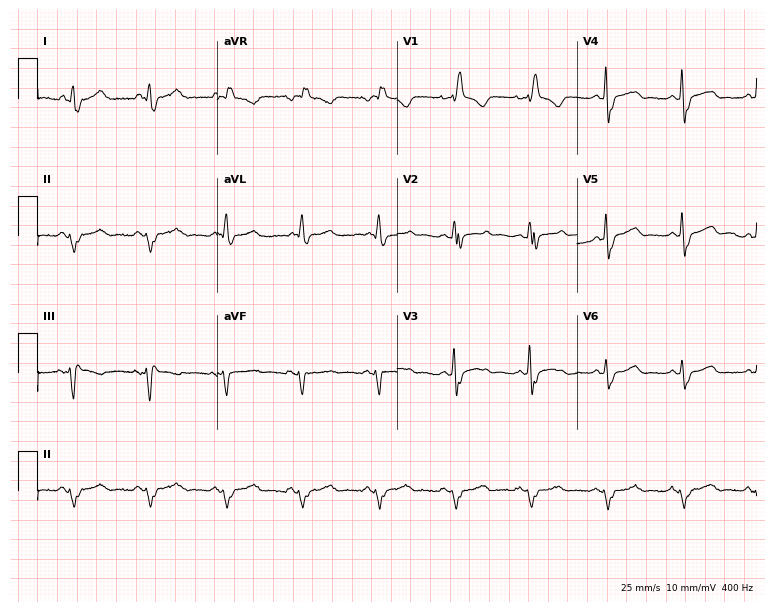
12-lead ECG from a 61-year-old female patient (7.3-second recording at 400 Hz). Shows right bundle branch block (RBBB).